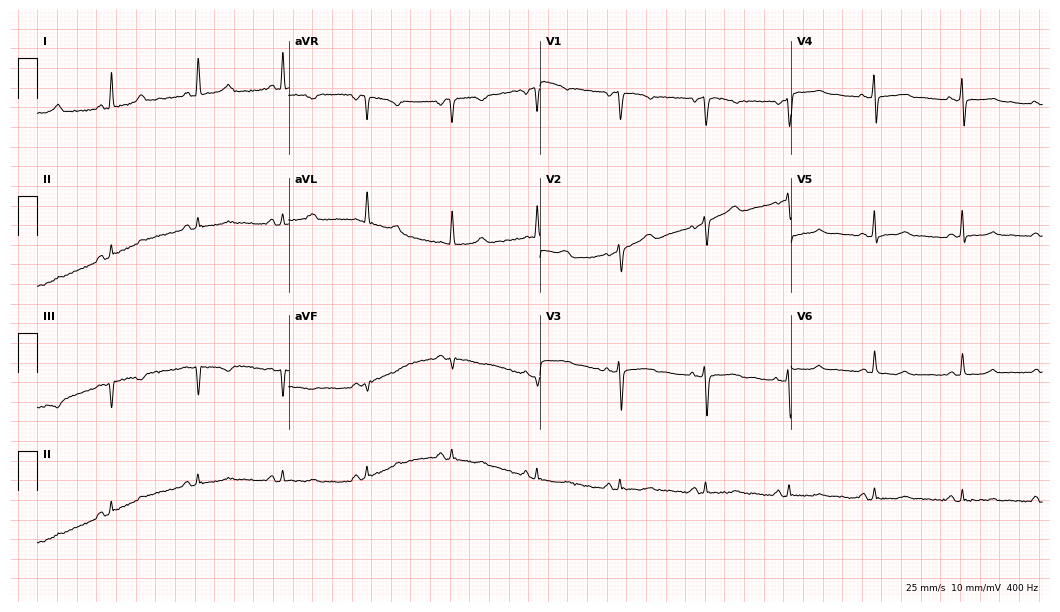
12-lead ECG from a 44-year-old woman (10.2-second recording at 400 Hz). No first-degree AV block, right bundle branch block (RBBB), left bundle branch block (LBBB), sinus bradycardia, atrial fibrillation (AF) or sinus tachycardia recorded for this tracing. Findings outside these six are not listed.